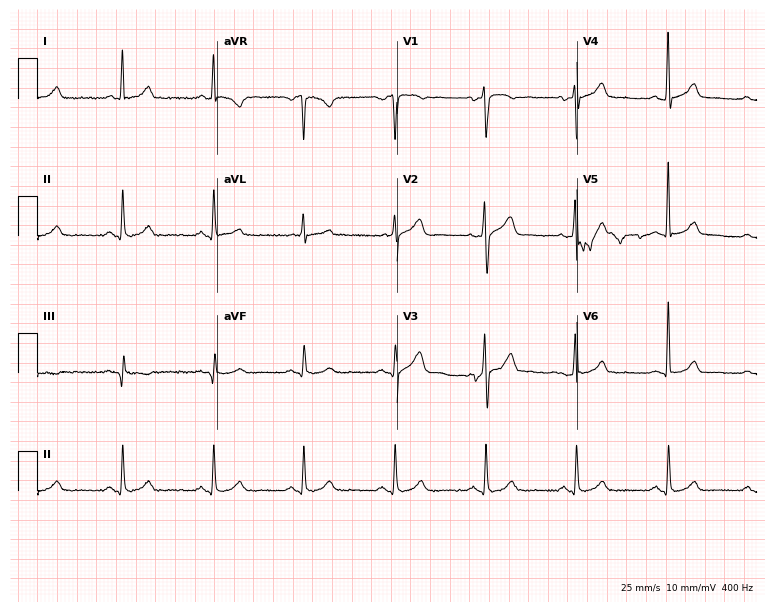
Standard 12-lead ECG recorded from a male patient, 45 years old. Read as a normal ECG.